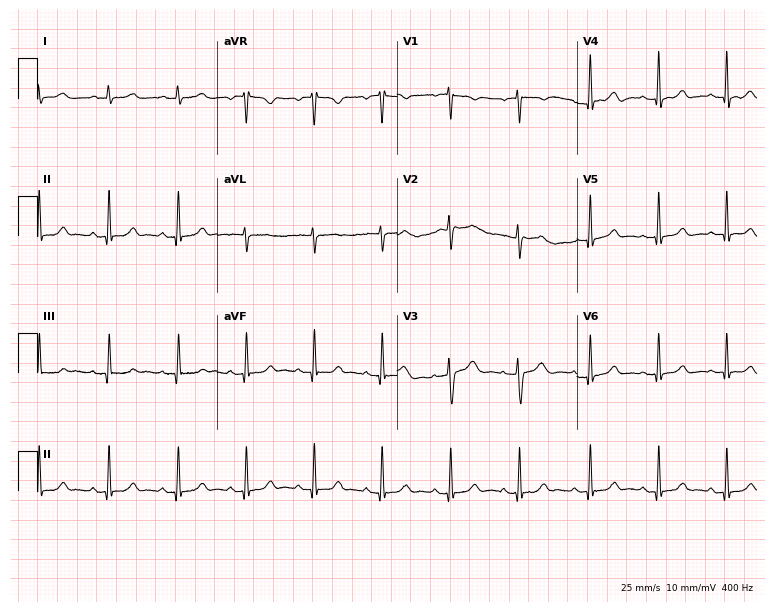
Standard 12-lead ECG recorded from a female patient, 34 years old. None of these six findings is recorded: first-degree AV block, right bundle branch block (RBBB), left bundle branch block (LBBB), sinus bradycardia, atrial fibrillation (AF), sinus tachycardia.